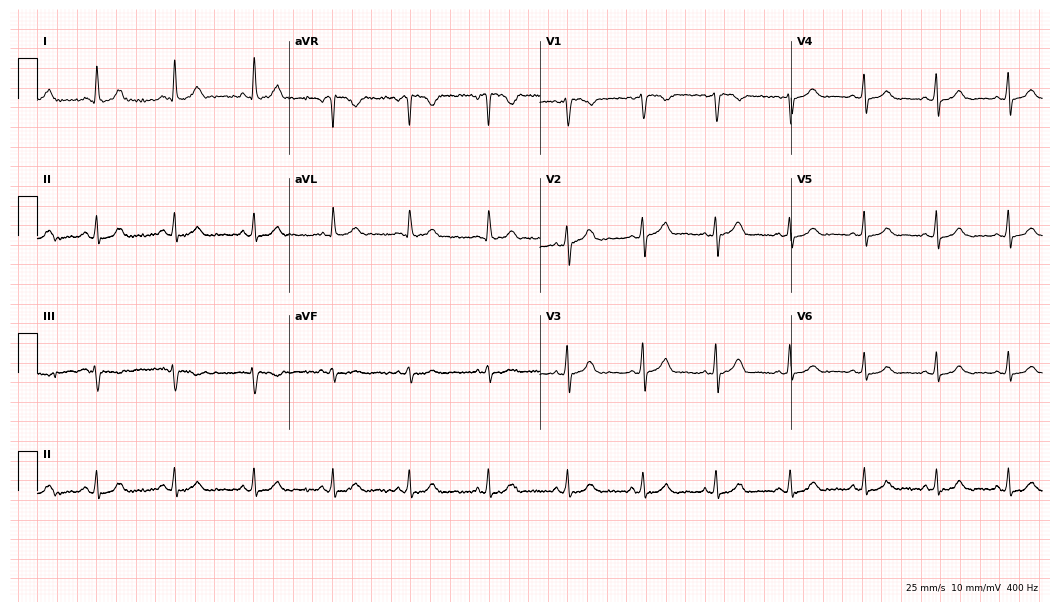
Resting 12-lead electrocardiogram. Patient: a 45-year-old woman. Read as a normal ECG.